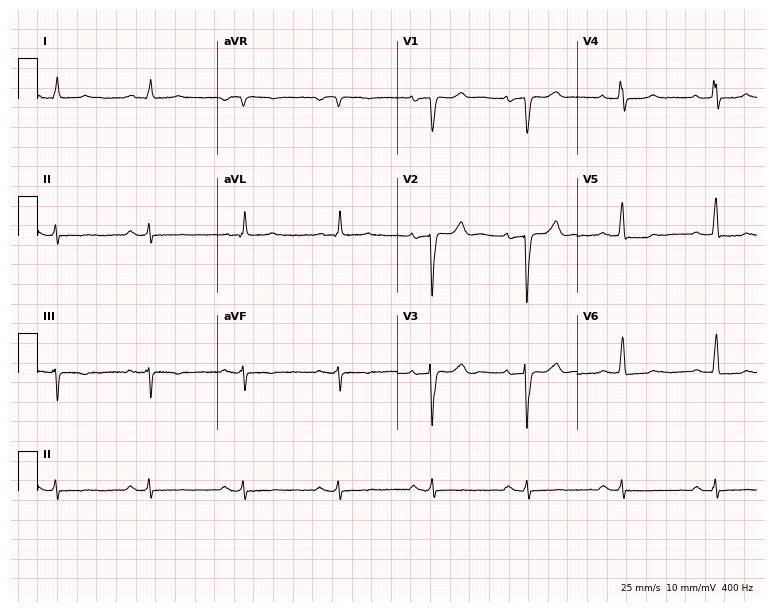
ECG (7.3-second recording at 400 Hz) — a 48-year-old male. Screened for six findings — first-degree AV block, right bundle branch block (RBBB), left bundle branch block (LBBB), sinus bradycardia, atrial fibrillation (AF), sinus tachycardia — none is recorded. Findings outside these six are not listed.